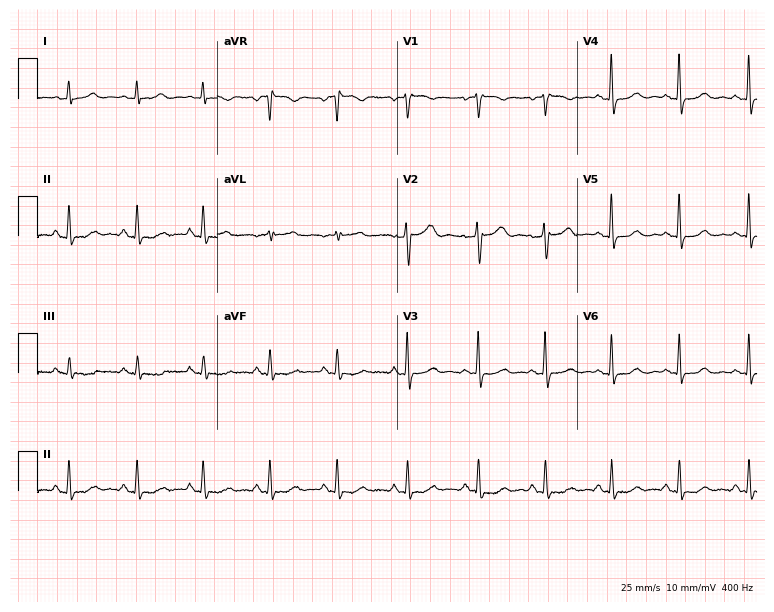
ECG — a woman, 50 years old. Screened for six findings — first-degree AV block, right bundle branch block (RBBB), left bundle branch block (LBBB), sinus bradycardia, atrial fibrillation (AF), sinus tachycardia — none is recorded. Findings outside these six are not listed.